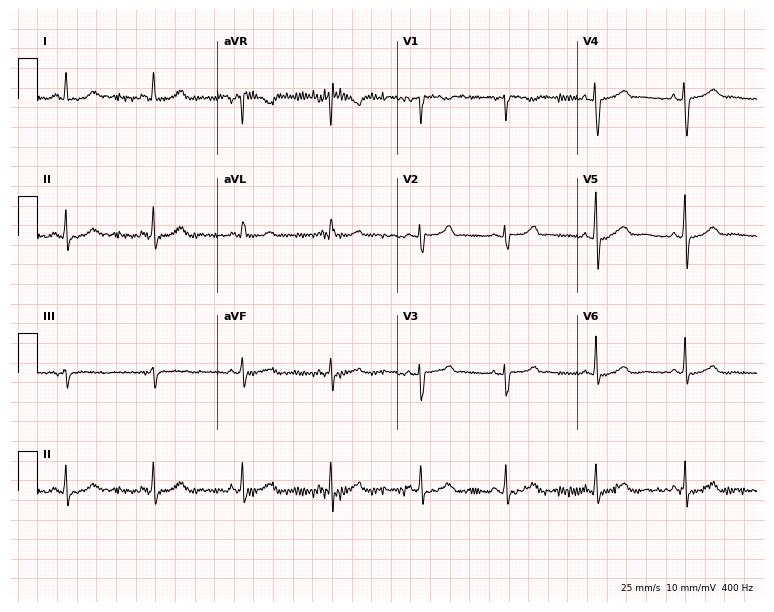
Electrocardiogram (7.3-second recording at 400 Hz), a female patient, 50 years old. Overall reading on record: normal ECG.